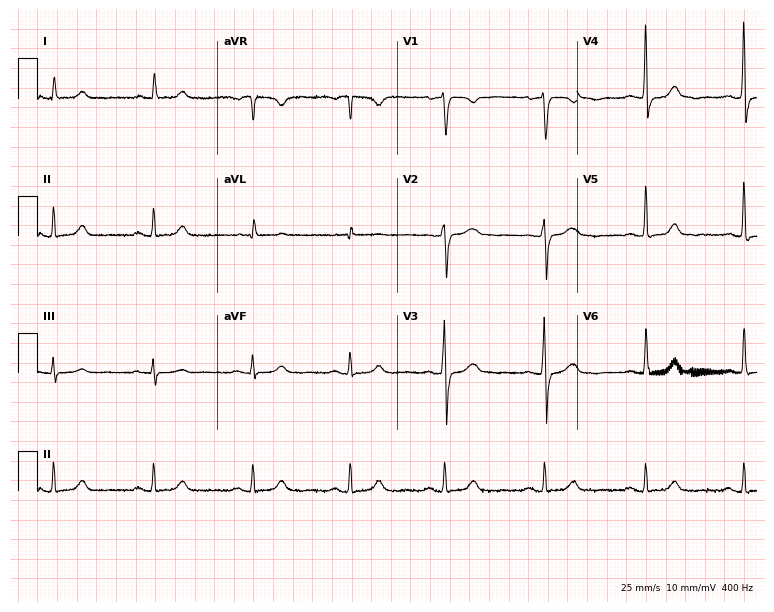
Resting 12-lead electrocardiogram (7.3-second recording at 400 Hz). Patient: a 66-year-old female. Read as a normal ECG.